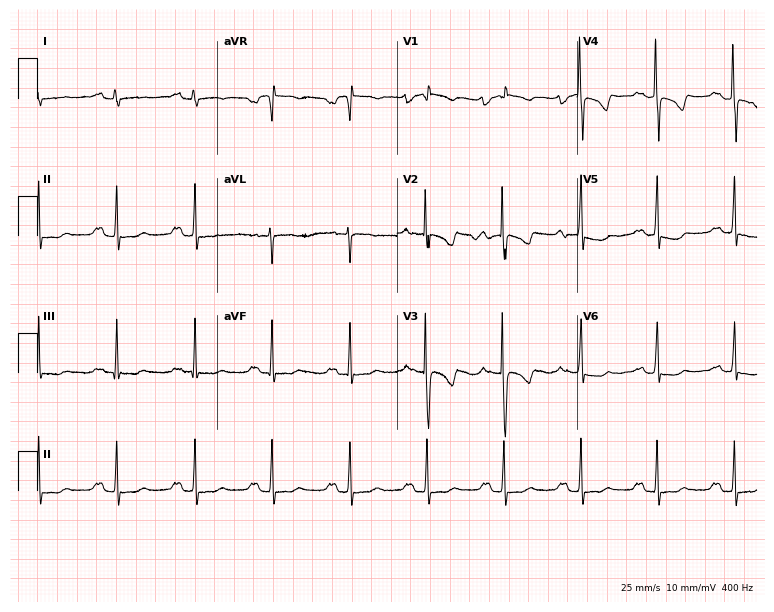
Electrocardiogram, a female, 18 years old. Interpretation includes first-degree AV block.